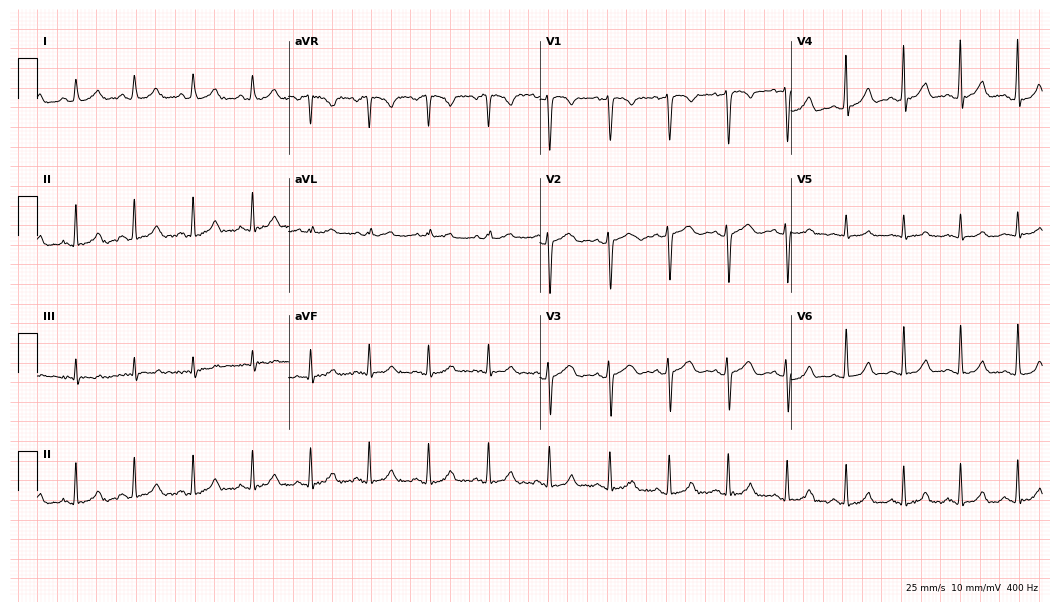
12-lead ECG (10.2-second recording at 400 Hz) from a female, 36 years old. Screened for six findings — first-degree AV block, right bundle branch block, left bundle branch block, sinus bradycardia, atrial fibrillation, sinus tachycardia — none is recorded.